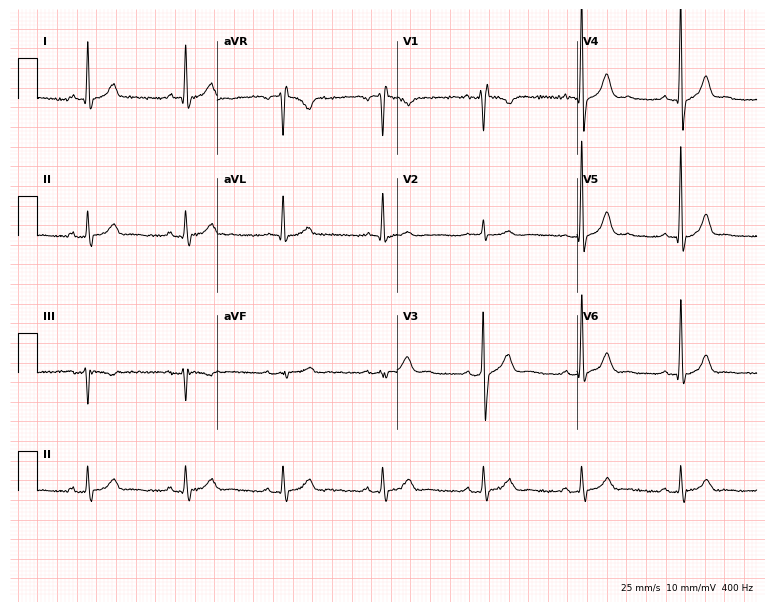
Electrocardiogram, a 42-year-old man. Overall reading on record: normal ECG.